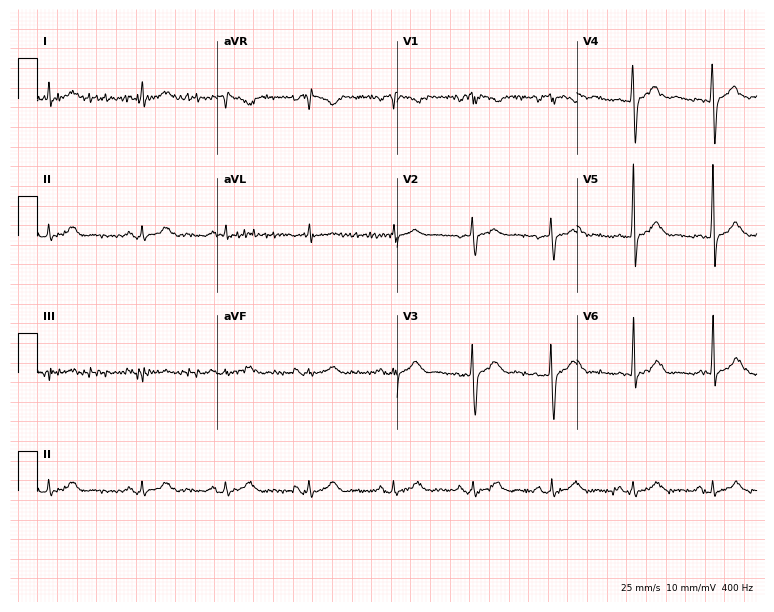
Standard 12-lead ECG recorded from a 37-year-old female patient (7.3-second recording at 400 Hz). None of these six findings is recorded: first-degree AV block, right bundle branch block, left bundle branch block, sinus bradycardia, atrial fibrillation, sinus tachycardia.